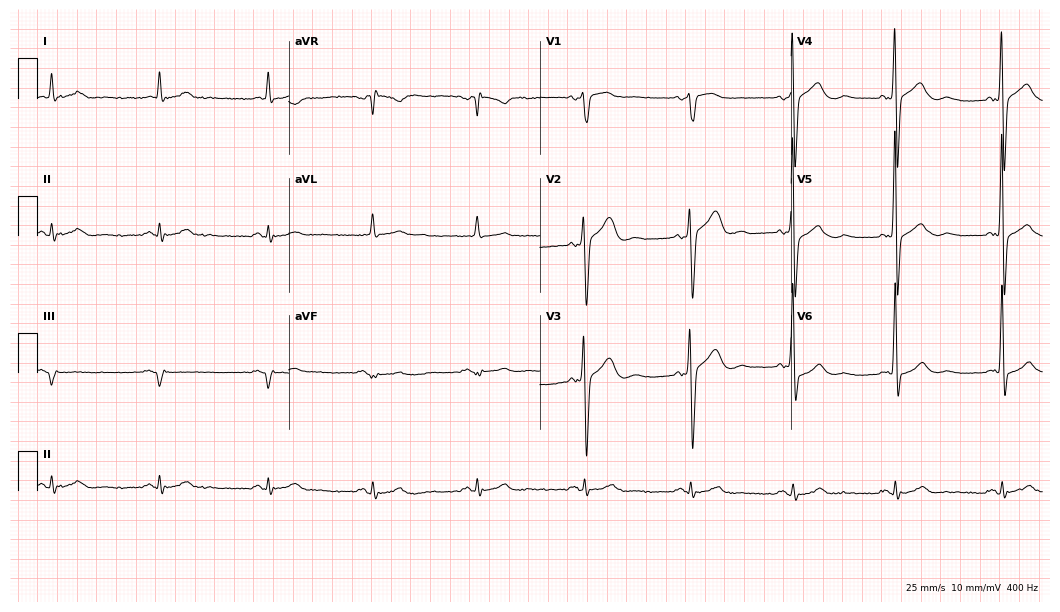
Electrocardiogram (10.2-second recording at 400 Hz), a 67-year-old male patient. Of the six screened findings (first-degree AV block, right bundle branch block, left bundle branch block, sinus bradycardia, atrial fibrillation, sinus tachycardia), none is recorded. Only these six findings were labelled.